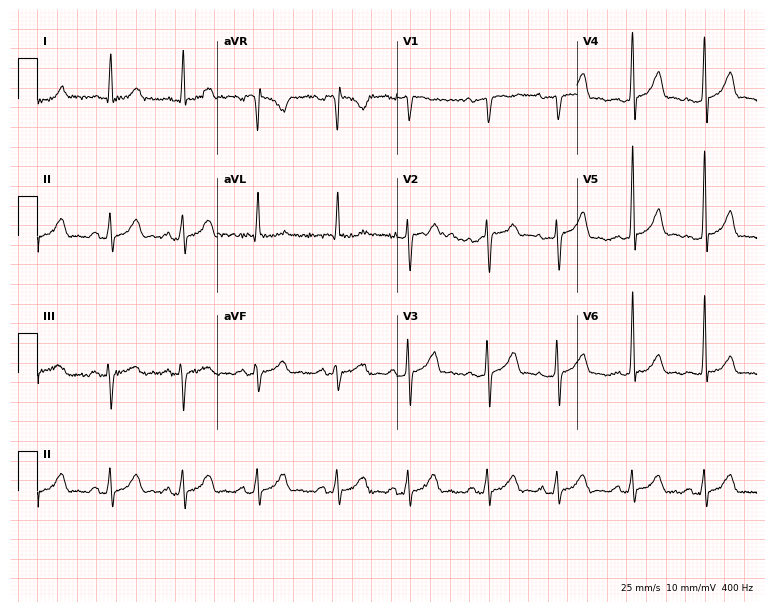
Standard 12-lead ECG recorded from a female, 56 years old. None of these six findings is recorded: first-degree AV block, right bundle branch block (RBBB), left bundle branch block (LBBB), sinus bradycardia, atrial fibrillation (AF), sinus tachycardia.